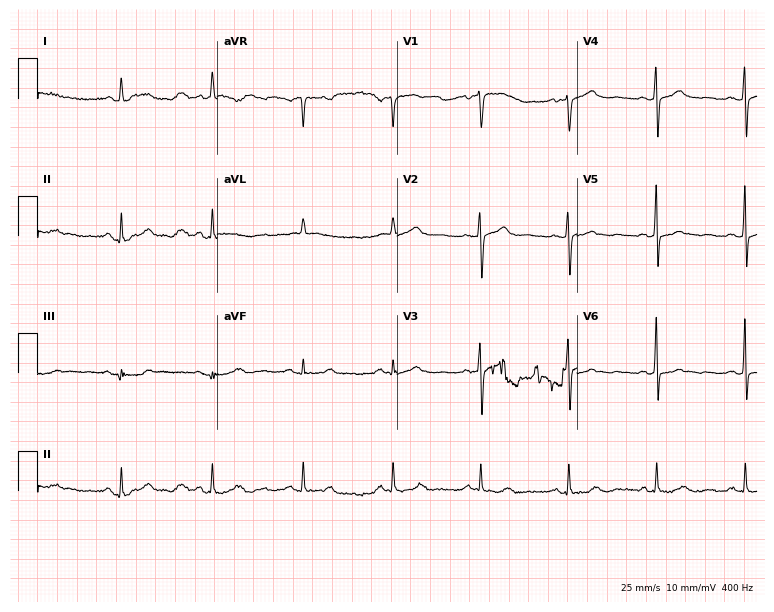
Resting 12-lead electrocardiogram (7.3-second recording at 400 Hz). Patient: a 72-year-old woman. None of these six findings is recorded: first-degree AV block, right bundle branch block, left bundle branch block, sinus bradycardia, atrial fibrillation, sinus tachycardia. Only these six findings were labelled.